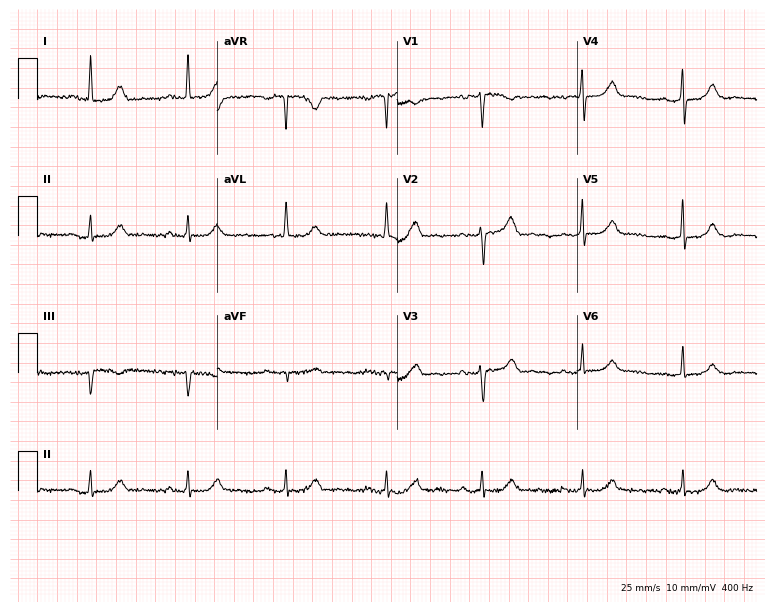
12-lead ECG from a 68-year-old woman (7.3-second recording at 400 Hz). Recorded interpretation: within normal limits.